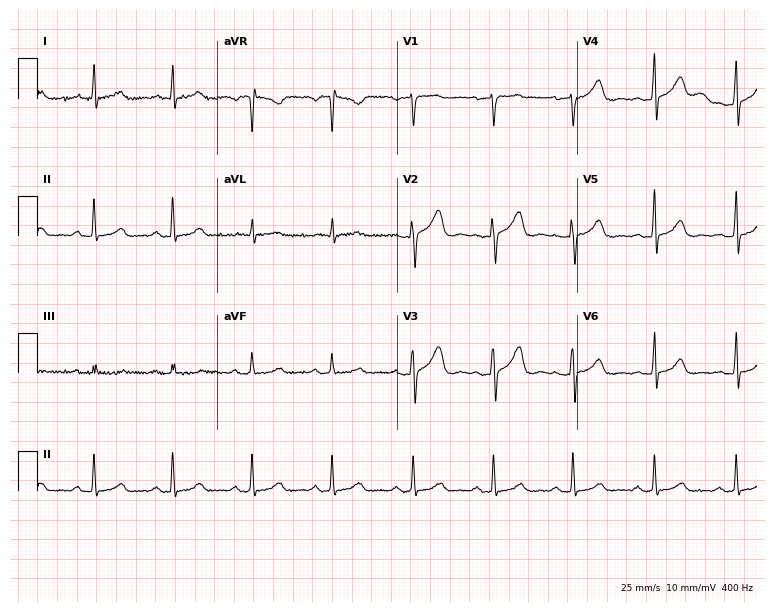
ECG (7.3-second recording at 400 Hz) — a 41-year-old woman. Screened for six findings — first-degree AV block, right bundle branch block (RBBB), left bundle branch block (LBBB), sinus bradycardia, atrial fibrillation (AF), sinus tachycardia — none is recorded.